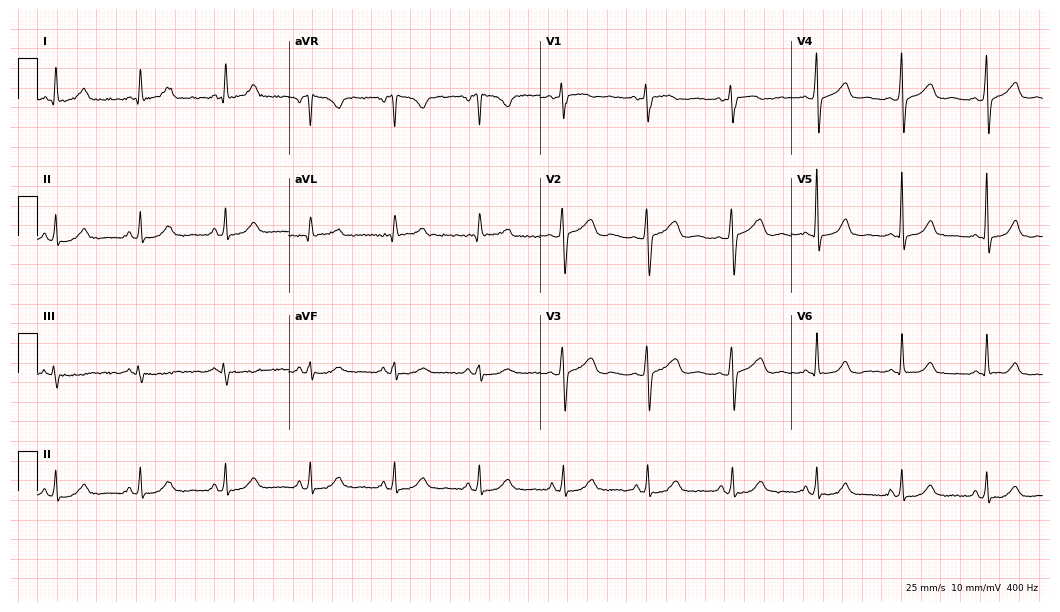
Electrocardiogram (10.2-second recording at 400 Hz), a female patient, 52 years old. Of the six screened findings (first-degree AV block, right bundle branch block, left bundle branch block, sinus bradycardia, atrial fibrillation, sinus tachycardia), none is recorded. Findings outside these six are not listed.